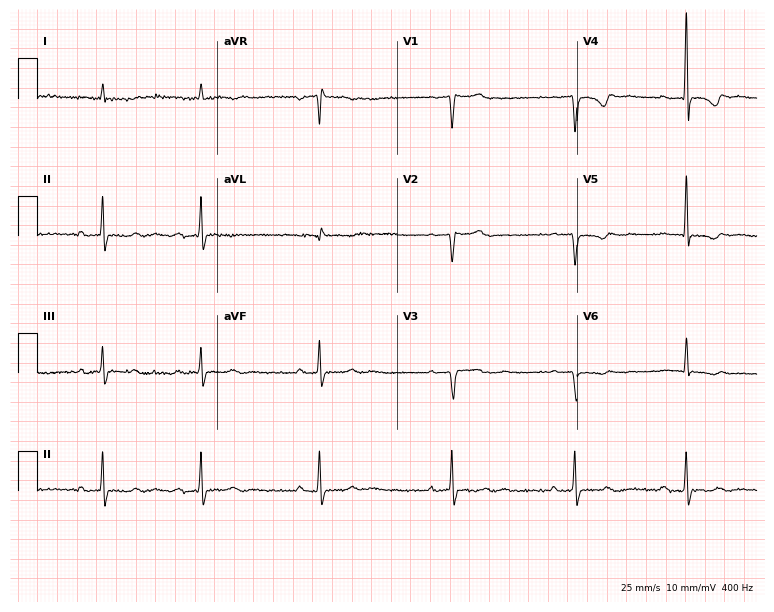
Resting 12-lead electrocardiogram (7.3-second recording at 400 Hz). Patient: a 77-year-old man. The tracing shows first-degree AV block, sinus bradycardia (a sinus rate of 50 beats per minute or less).